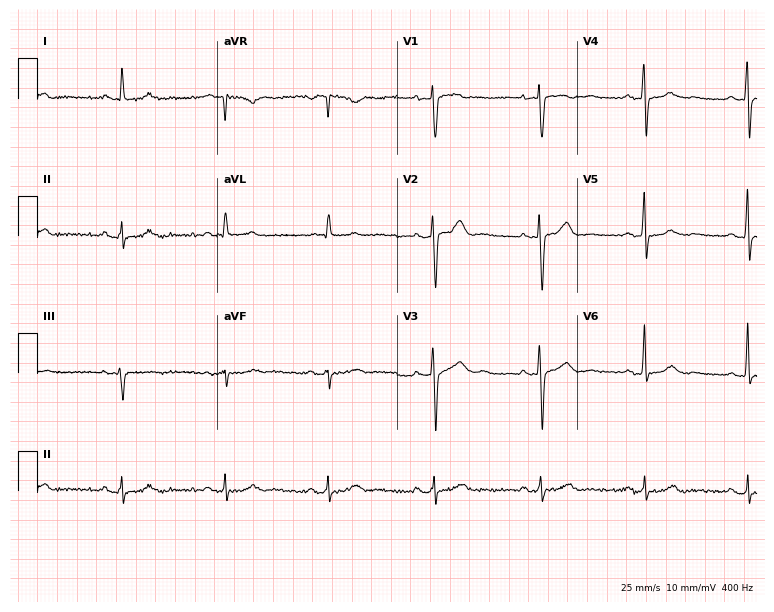
Resting 12-lead electrocardiogram (7.3-second recording at 400 Hz). Patient: a male, 49 years old. Read as a normal ECG.